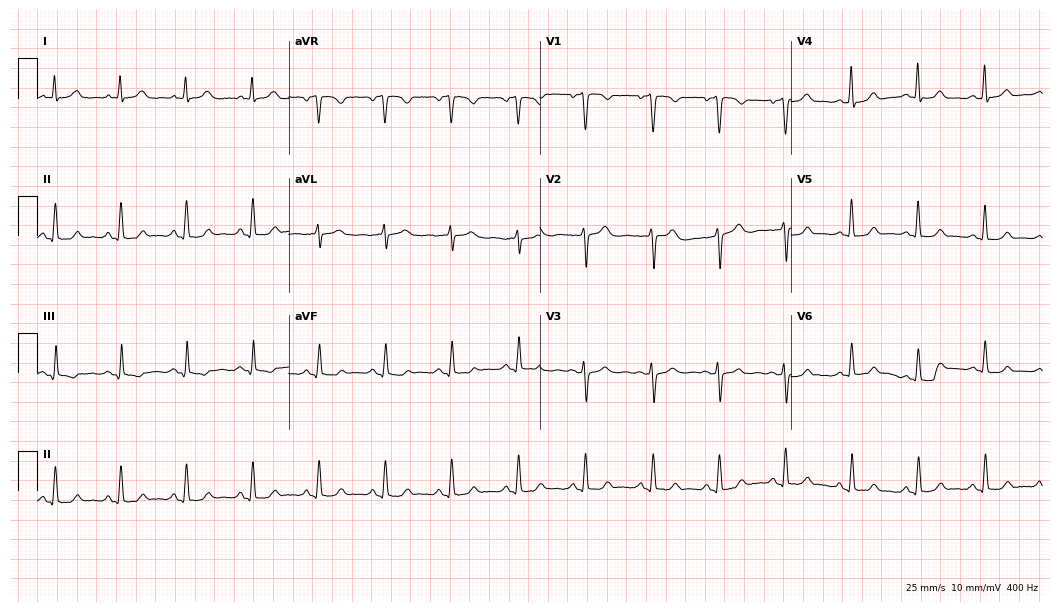
12-lead ECG (10.2-second recording at 400 Hz) from a 60-year-old female patient. Labelled as a normal ECG.